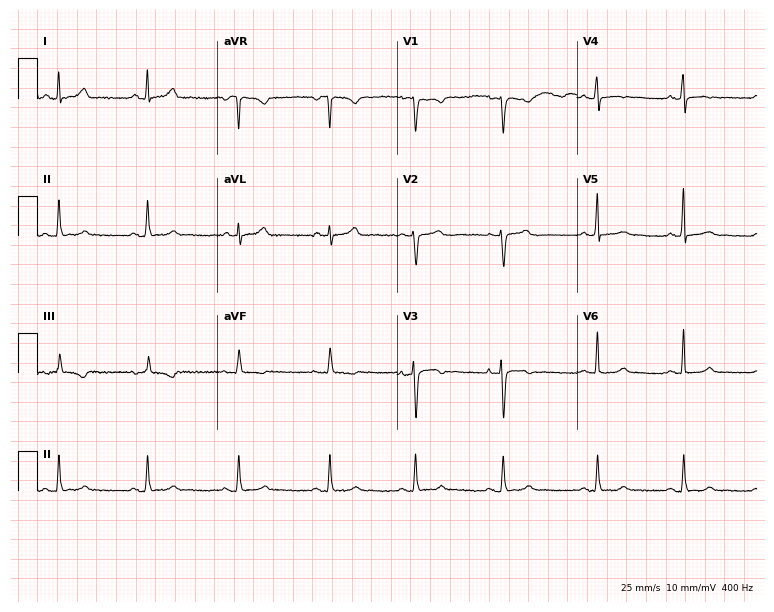
ECG (7.3-second recording at 400 Hz) — a female, 40 years old. Screened for six findings — first-degree AV block, right bundle branch block (RBBB), left bundle branch block (LBBB), sinus bradycardia, atrial fibrillation (AF), sinus tachycardia — none is recorded.